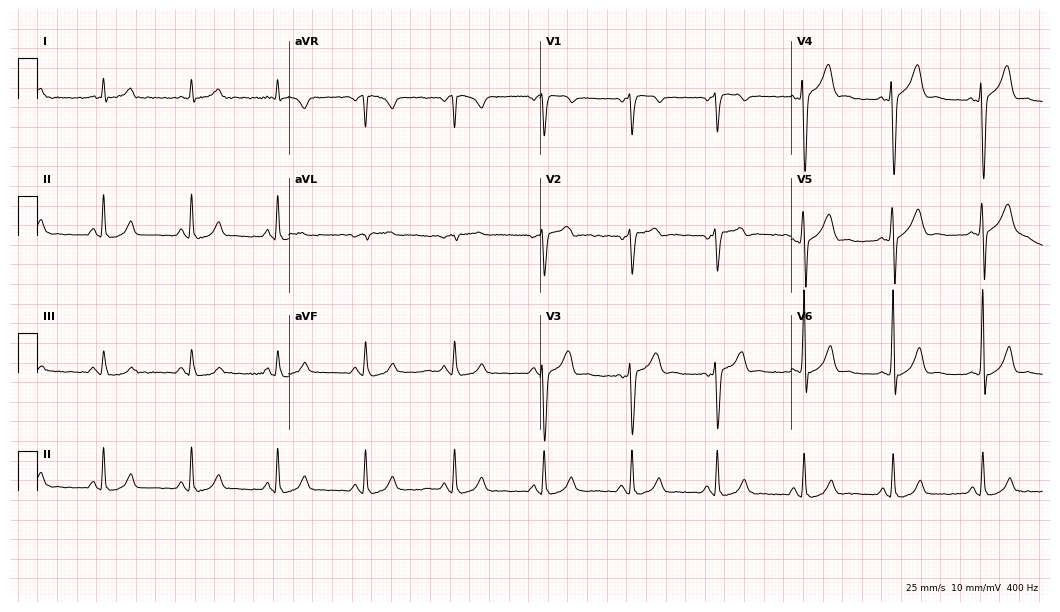
12-lead ECG from a 35-year-old man (10.2-second recording at 400 Hz). No first-degree AV block, right bundle branch block, left bundle branch block, sinus bradycardia, atrial fibrillation or sinus tachycardia recorded for this tracing.